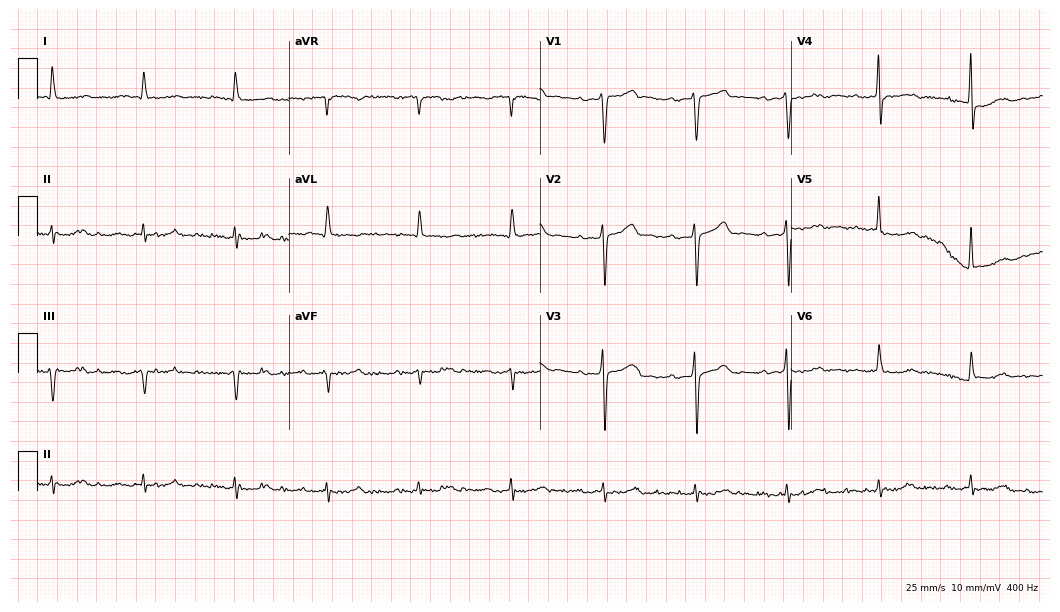
Standard 12-lead ECG recorded from a man, 85 years old (10.2-second recording at 400 Hz). None of these six findings is recorded: first-degree AV block, right bundle branch block, left bundle branch block, sinus bradycardia, atrial fibrillation, sinus tachycardia.